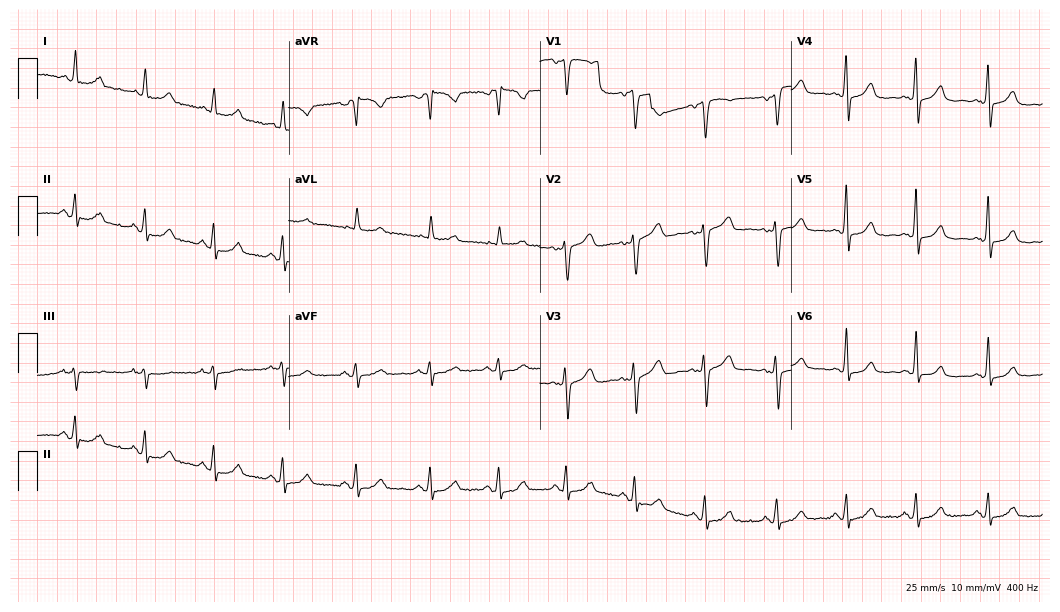
12-lead ECG from a 59-year-old woman. No first-degree AV block, right bundle branch block, left bundle branch block, sinus bradycardia, atrial fibrillation or sinus tachycardia recorded for this tracing.